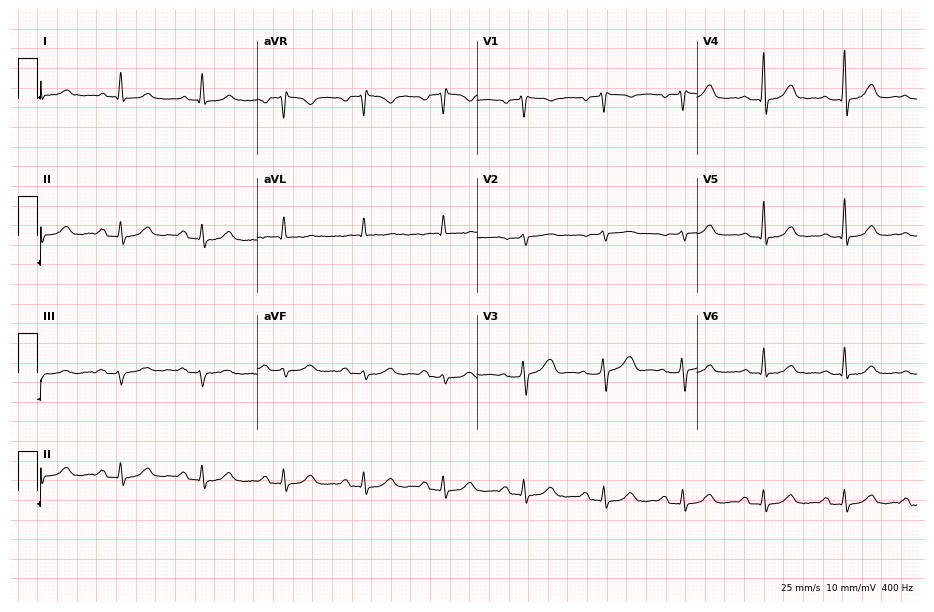
12-lead ECG from a 61-year-old woman. Shows first-degree AV block.